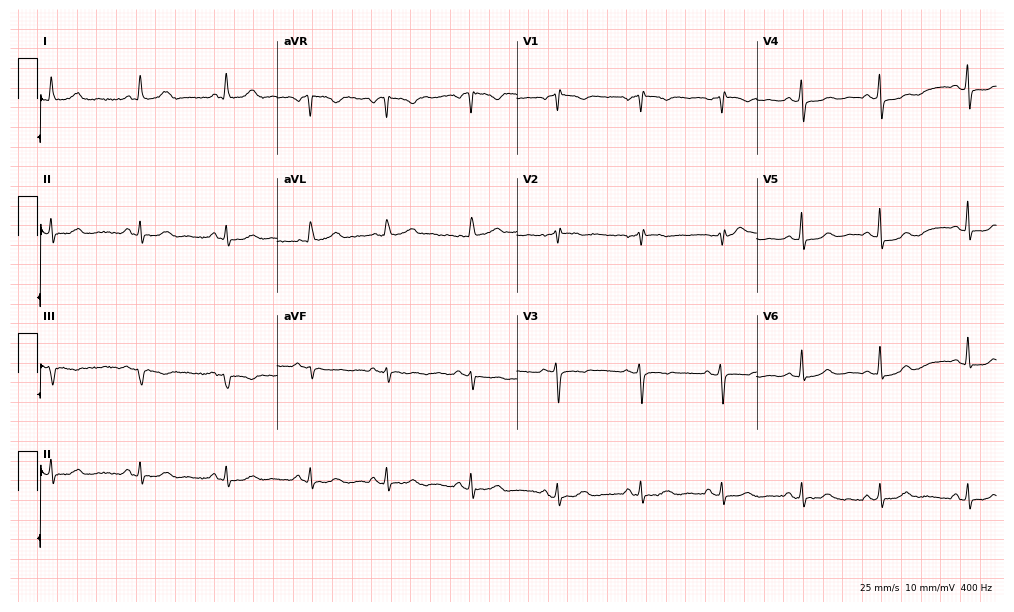
Standard 12-lead ECG recorded from a female, 52 years old (9.8-second recording at 400 Hz). None of these six findings is recorded: first-degree AV block, right bundle branch block (RBBB), left bundle branch block (LBBB), sinus bradycardia, atrial fibrillation (AF), sinus tachycardia. Findings outside these six are not listed.